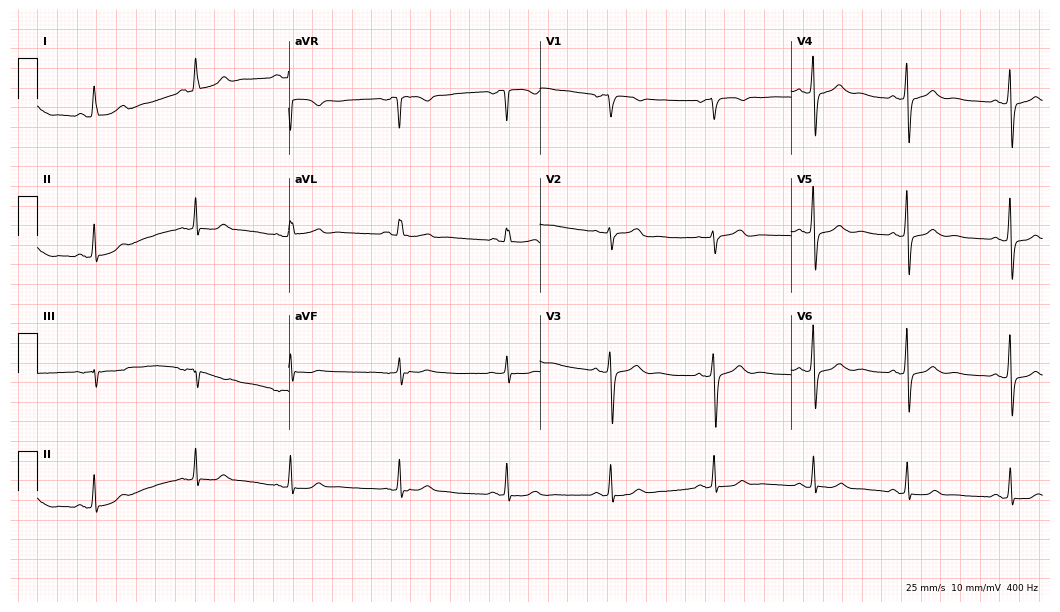
Resting 12-lead electrocardiogram. Patient: a female, 73 years old. Read as a normal ECG.